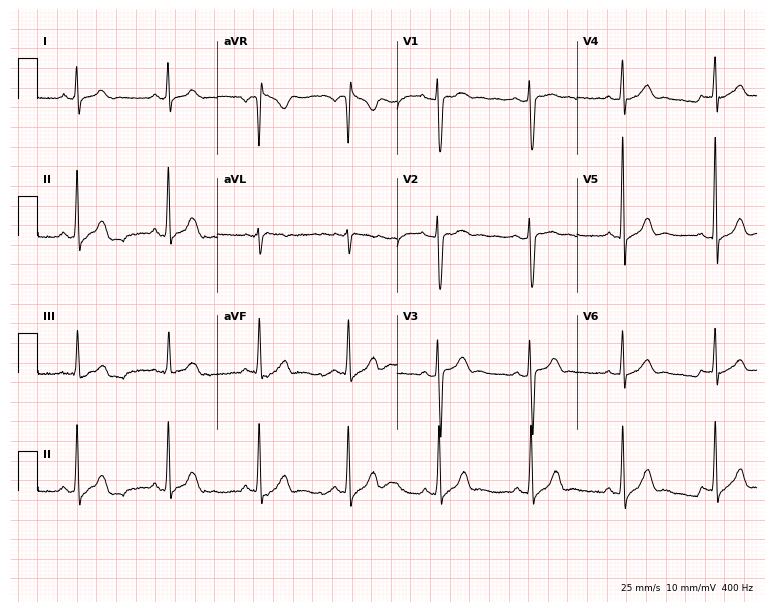
ECG — a 31-year-old male. Labelled as a normal ECG.